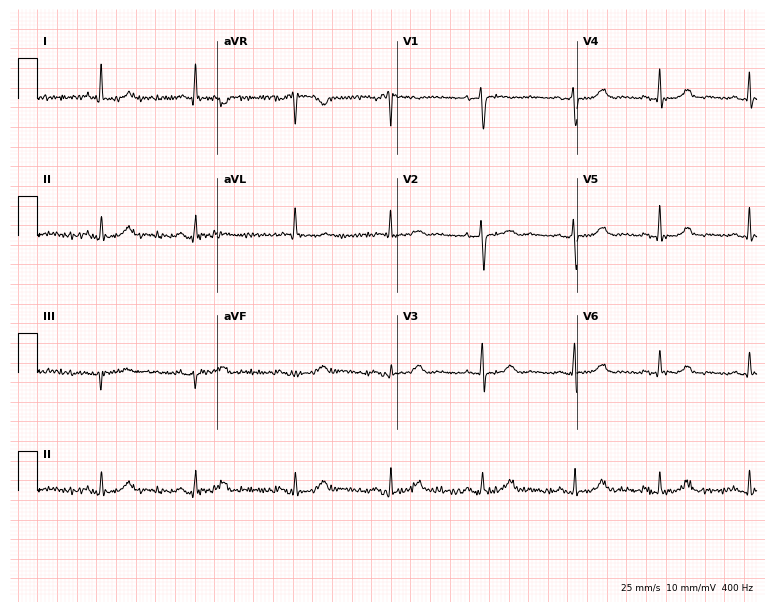
Resting 12-lead electrocardiogram (7.3-second recording at 400 Hz). Patient: a woman, 70 years old. Read as a normal ECG.